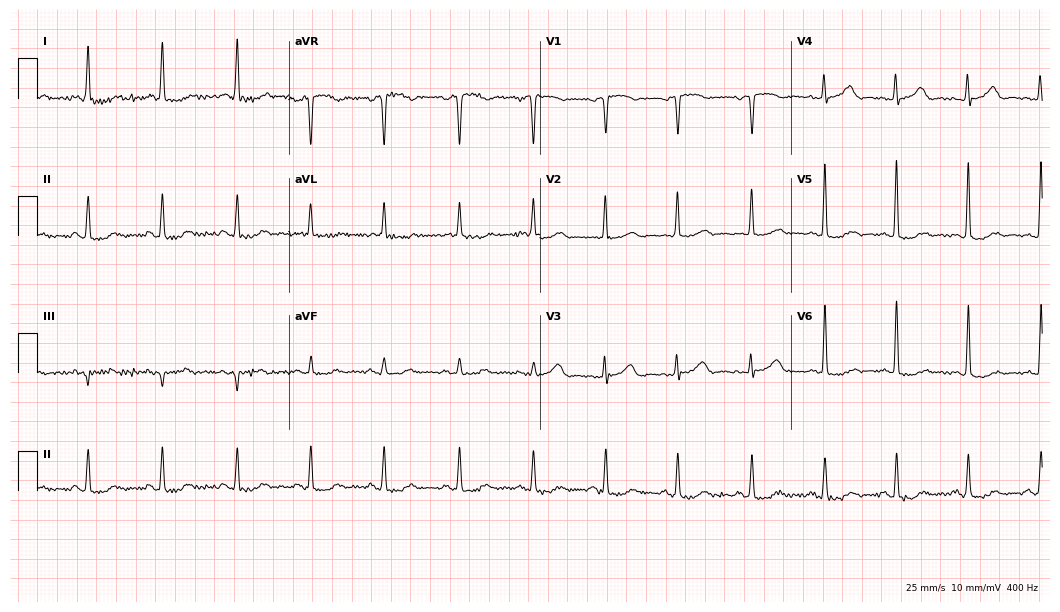
Electrocardiogram (10.2-second recording at 400 Hz), a woman, 78 years old. Of the six screened findings (first-degree AV block, right bundle branch block, left bundle branch block, sinus bradycardia, atrial fibrillation, sinus tachycardia), none is recorded.